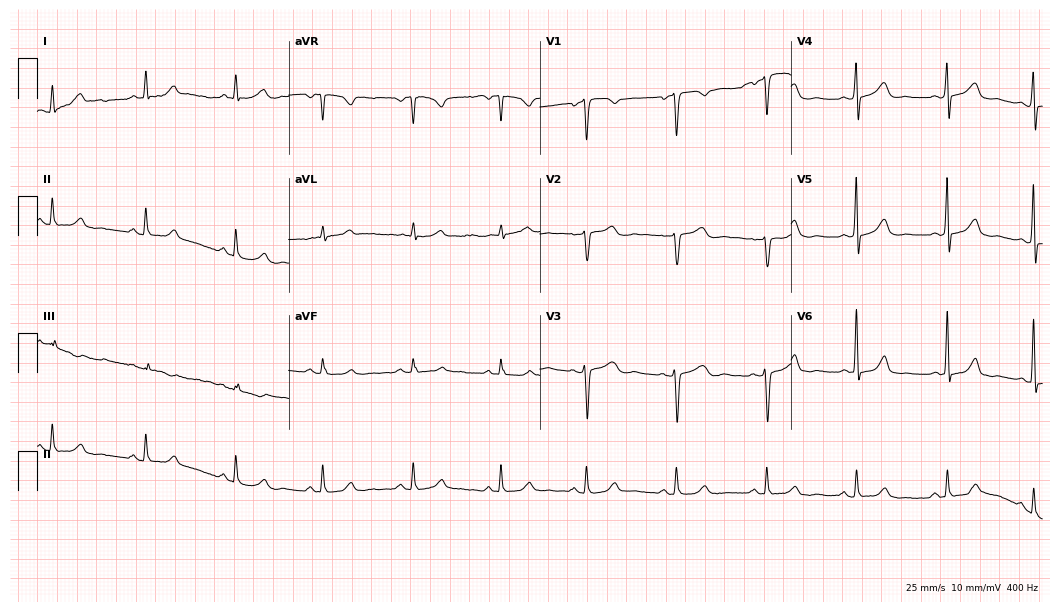
Resting 12-lead electrocardiogram (10.2-second recording at 400 Hz). Patient: a 44-year-old female. Read as a normal ECG.